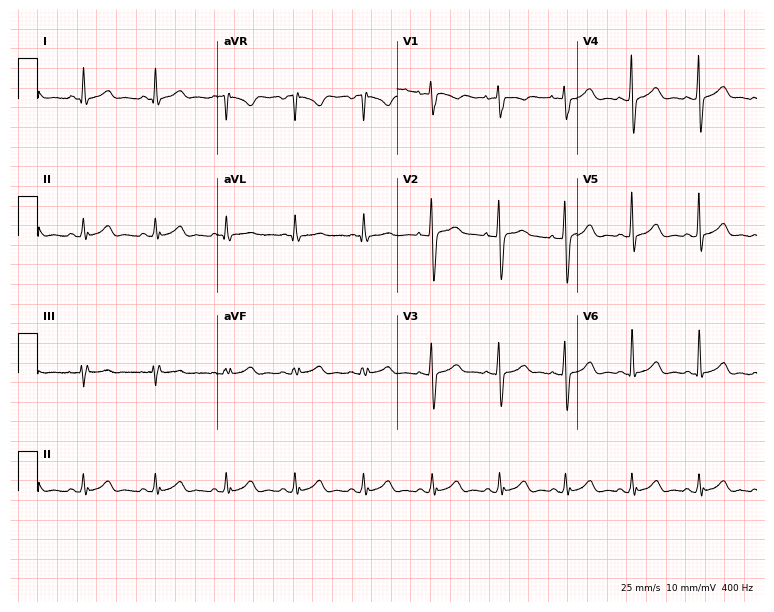
12-lead ECG from a 32-year-old woman (7.3-second recording at 400 Hz). Recorded interpretation: within normal limits.